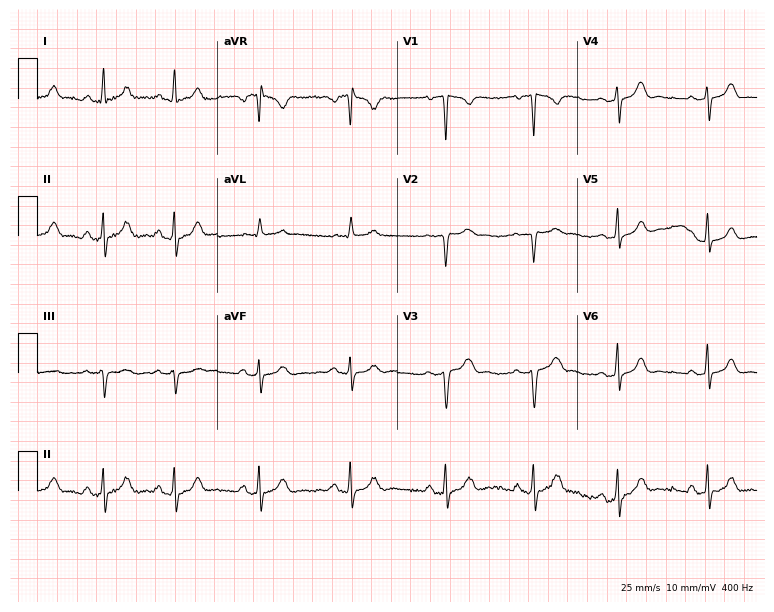
12-lead ECG from a 32-year-old woman. No first-degree AV block, right bundle branch block, left bundle branch block, sinus bradycardia, atrial fibrillation or sinus tachycardia recorded for this tracing. Only these six findings were labelled.